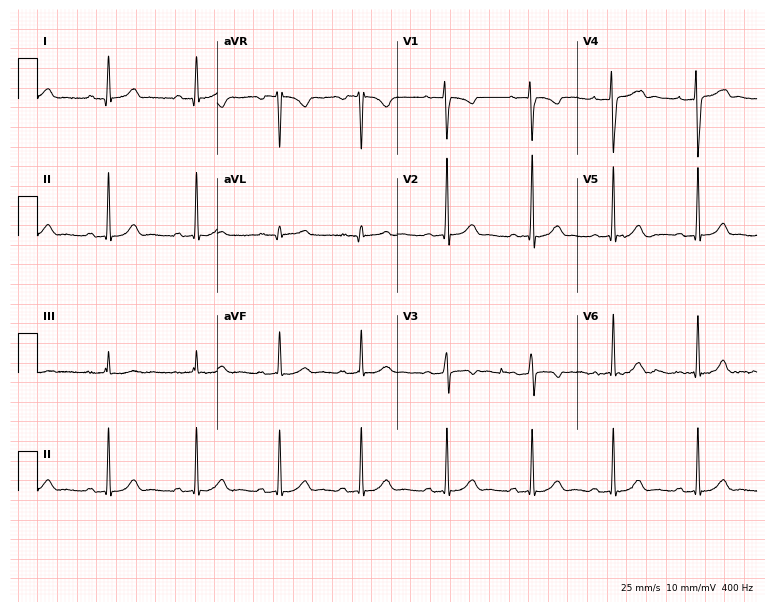
Electrocardiogram, a 19-year-old female patient. Overall reading on record: normal ECG.